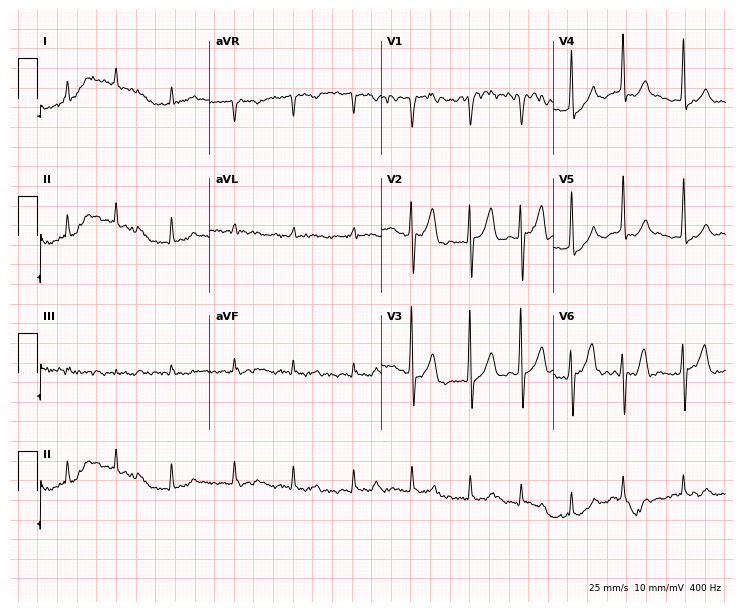
Electrocardiogram (7-second recording at 400 Hz), an 80-year-old male patient. Of the six screened findings (first-degree AV block, right bundle branch block (RBBB), left bundle branch block (LBBB), sinus bradycardia, atrial fibrillation (AF), sinus tachycardia), none is recorded. Only these six findings were labelled.